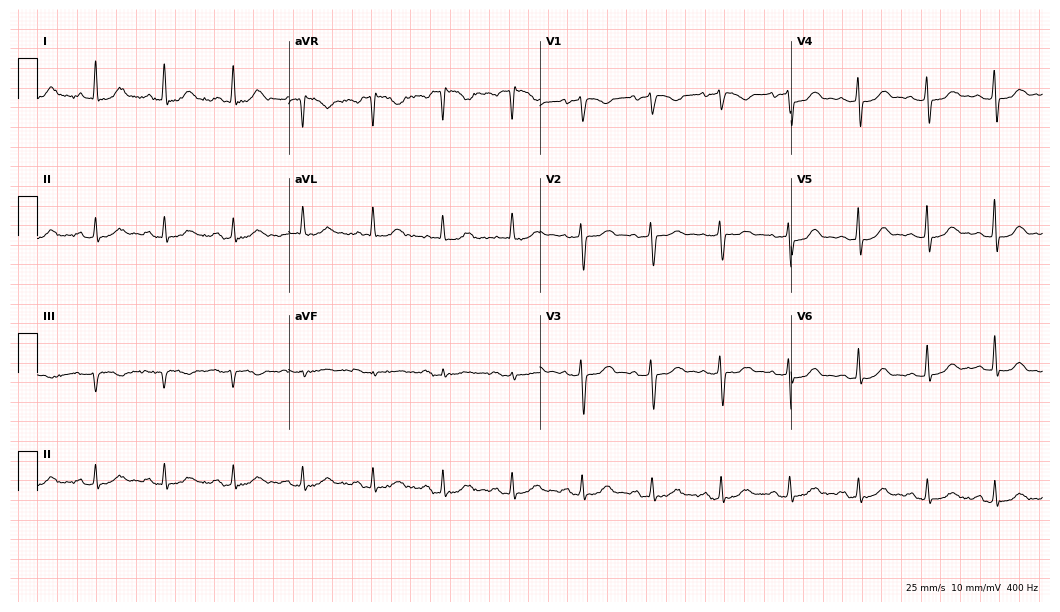
Electrocardiogram (10.2-second recording at 400 Hz), a 74-year-old female patient. Of the six screened findings (first-degree AV block, right bundle branch block (RBBB), left bundle branch block (LBBB), sinus bradycardia, atrial fibrillation (AF), sinus tachycardia), none is recorded.